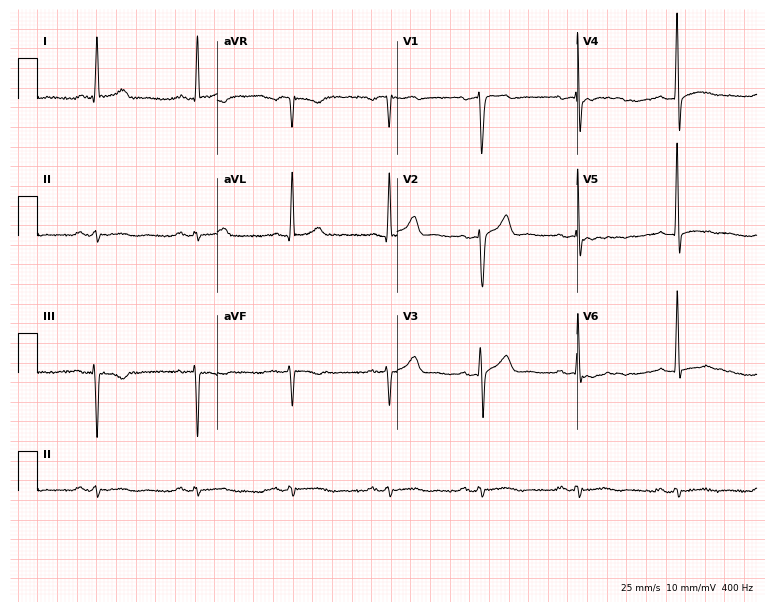
ECG (7.3-second recording at 400 Hz) — a 55-year-old male patient. Screened for six findings — first-degree AV block, right bundle branch block, left bundle branch block, sinus bradycardia, atrial fibrillation, sinus tachycardia — none is recorded.